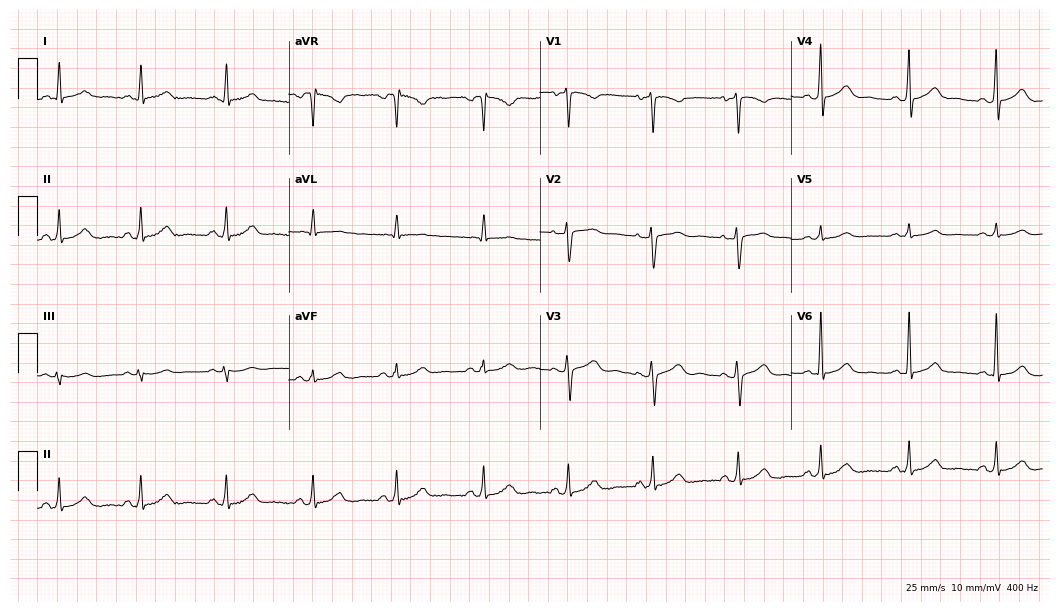
Standard 12-lead ECG recorded from a female patient, 30 years old (10.2-second recording at 400 Hz). Read as a normal ECG.